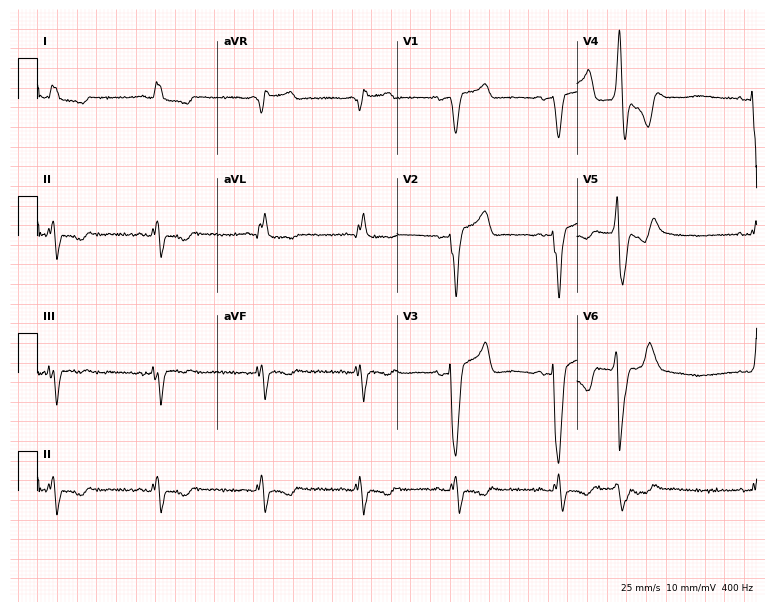
Resting 12-lead electrocardiogram. Patient: a 75-year-old female. The tracing shows left bundle branch block.